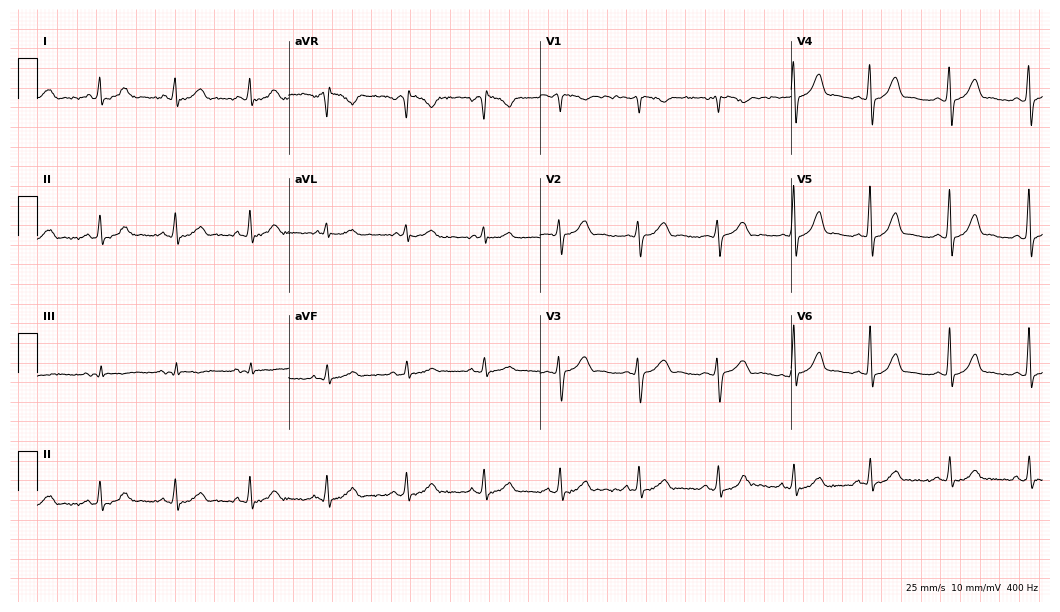
Electrocardiogram, a 31-year-old female. Of the six screened findings (first-degree AV block, right bundle branch block (RBBB), left bundle branch block (LBBB), sinus bradycardia, atrial fibrillation (AF), sinus tachycardia), none is recorded. Findings outside these six are not listed.